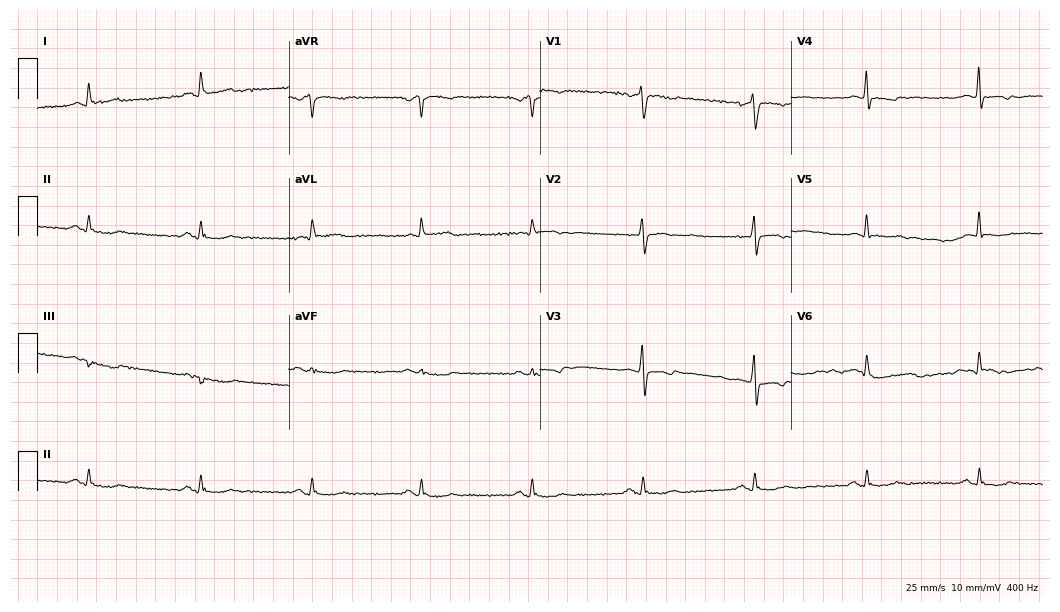
ECG — a male, 63 years old. Screened for six findings — first-degree AV block, right bundle branch block, left bundle branch block, sinus bradycardia, atrial fibrillation, sinus tachycardia — none is recorded. Other findings, if any, are not listed.